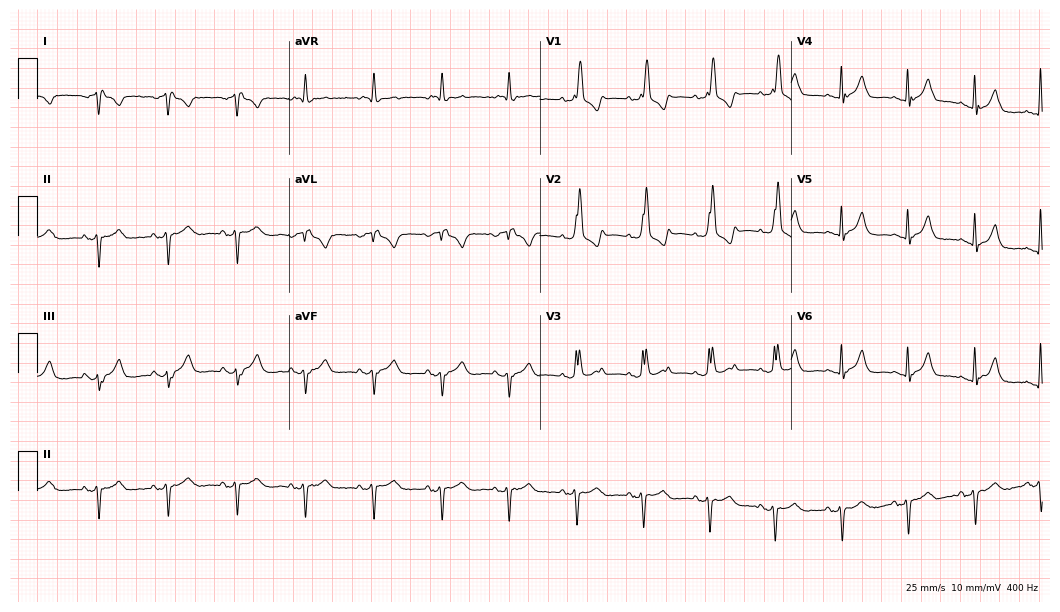
ECG — a female patient, 86 years old. Screened for six findings — first-degree AV block, right bundle branch block, left bundle branch block, sinus bradycardia, atrial fibrillation, sinus tachycardia — none is recorded.